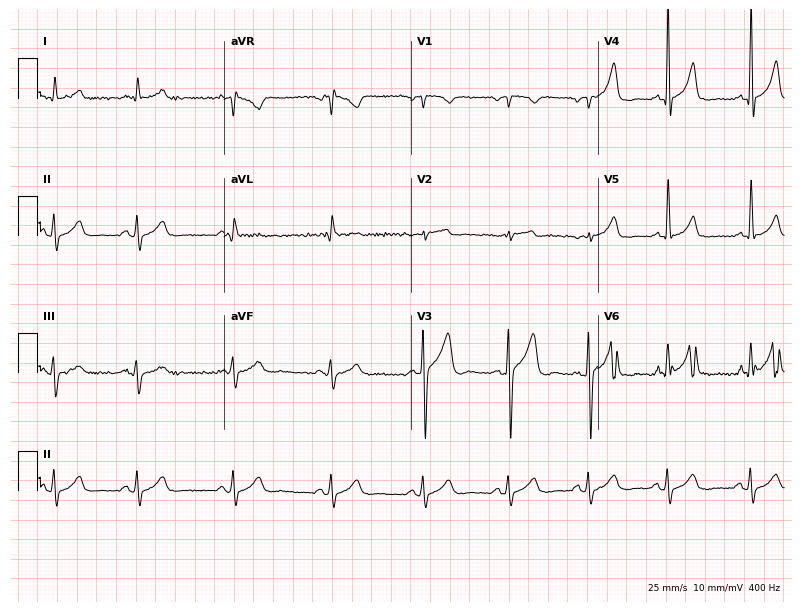
12-lead ECG from a 60-year-old male (7.6-second recording at 400 Hz). No first-degree AV block, right bundle branch block, left bundle branch block, sinus bradycardia, atrial fibrillation or sinus tachycardia recorded for this tracing.